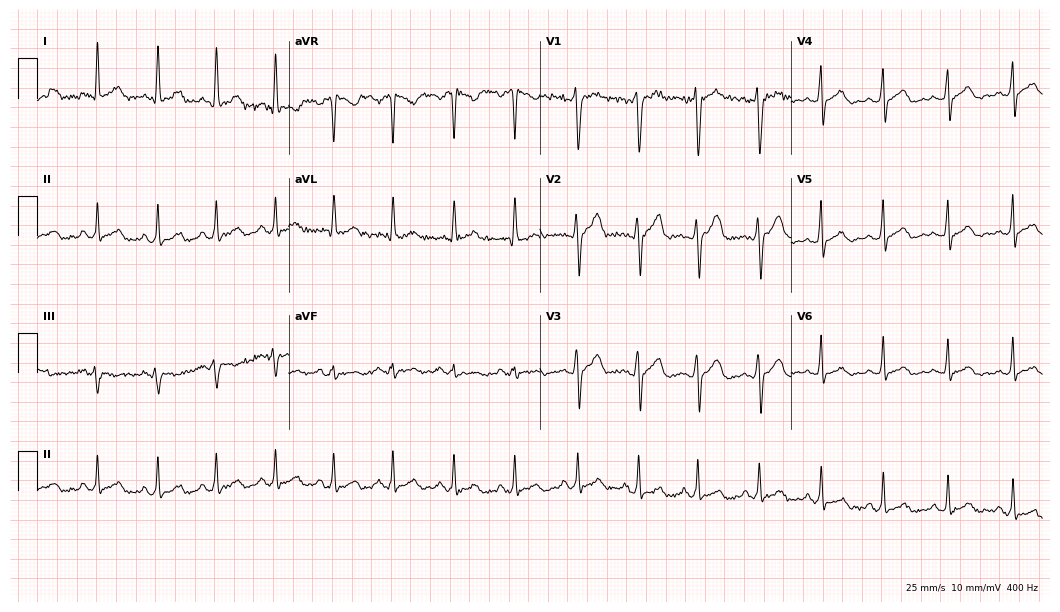
Resting 12-lead electrocardiogram (10.2-second recording at 400 Hz). Patient: a male, 22 years old. Read as a normal ECG.